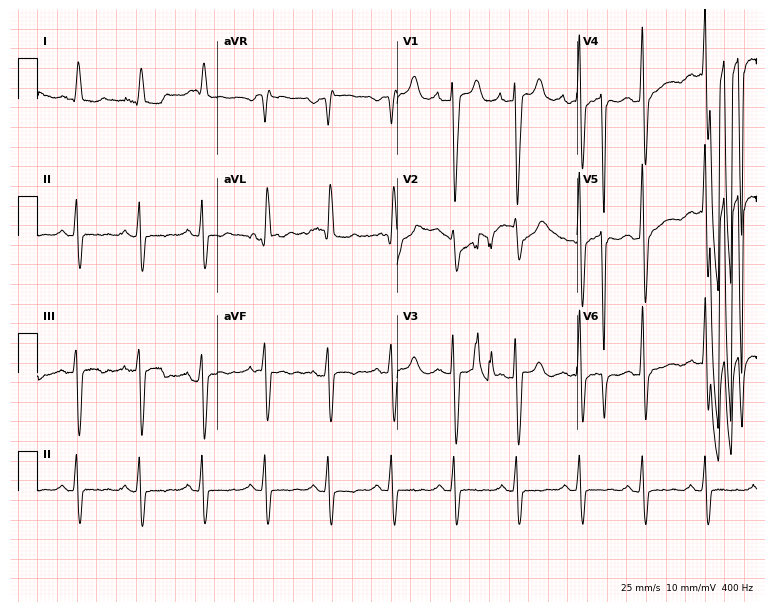
12-lead ECG from a 70-year-old female patient. Screened for six findings — first-degree AV block, right bundle branch block (RBBB), left bundle branch block (LBBB), sinus bradycardia, atrial fibrillation (AF), sinus tachycardia — none is recorded.